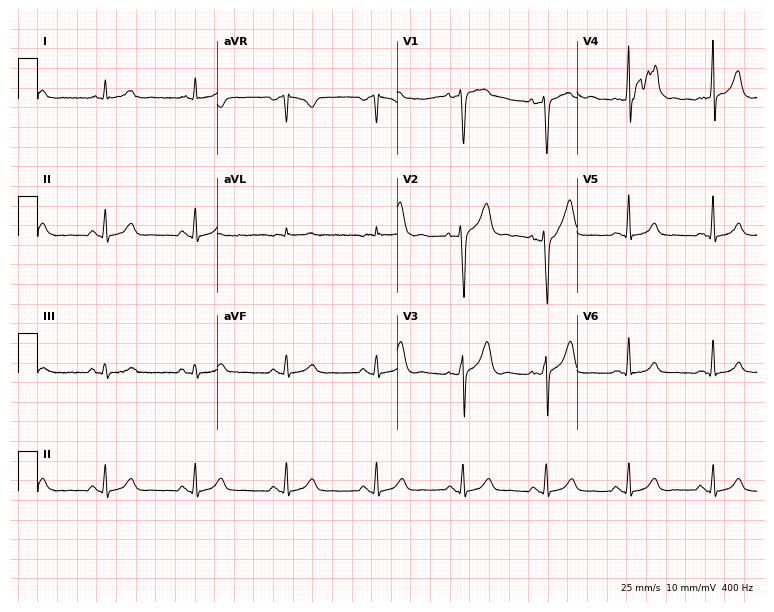
ECG — a 53-year-old male. Labelled as a normal ECG.